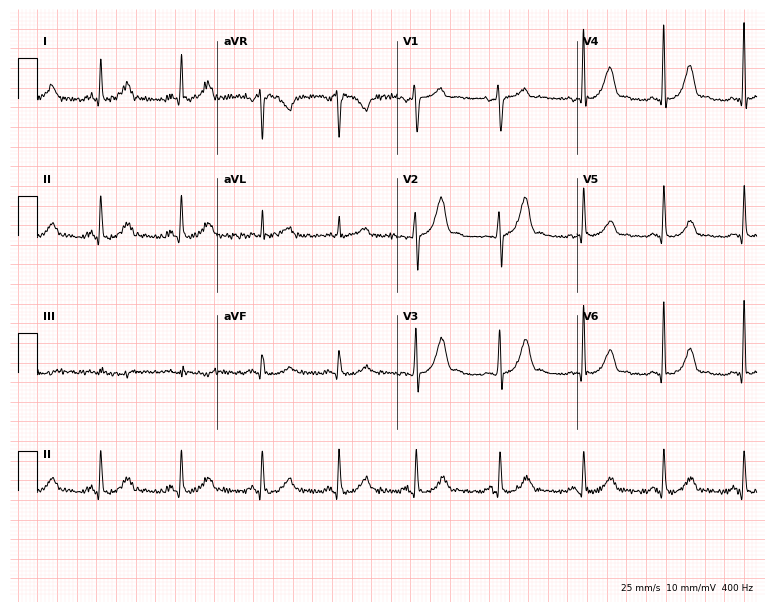
Resting 12-lead electrocardiogram (7.3-second recording at 400 Hz). Patient: a 48-year-old woman. Read as a normal ECG.